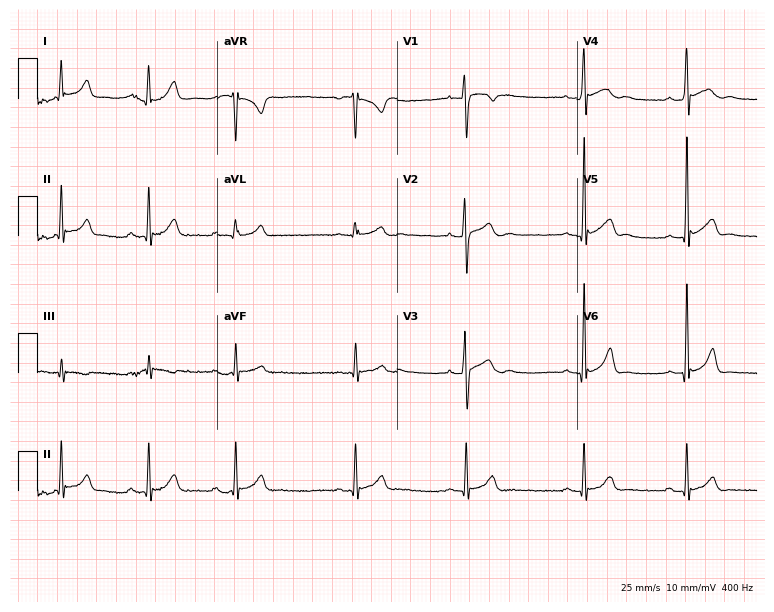
12-lead ECG from a man, 18 years old. Screened for six findings — first-degree AV block, right bundle branch block (RBBB), left bundle branch block (LBBB), sinus bradycardia, atrial fibrillation (AF), sinus tachycardia — none is recorded. Only these six findings were labelled.